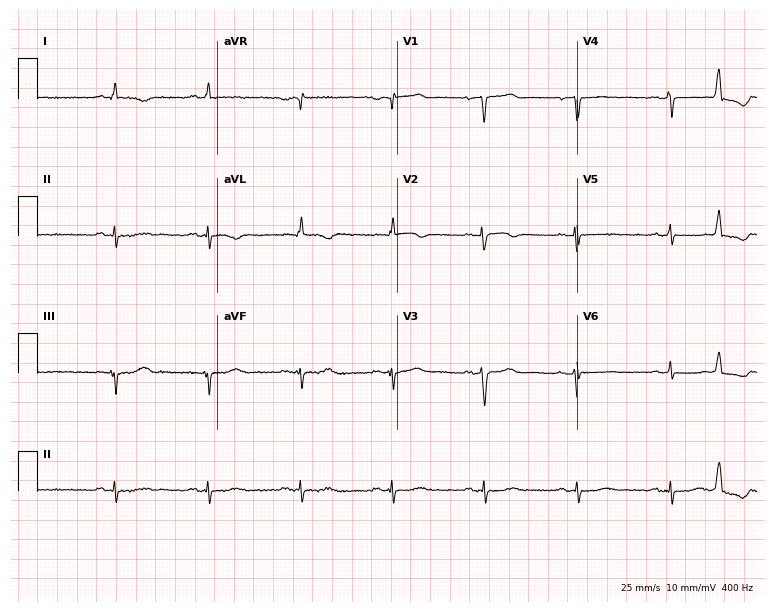
Electrocardiogram, a woman, 67 years old. Of the six screened findings (first-degree AV block, right bundle branch block (RBBB), left bundle branch block (LBBB), sinus bradycardia, atrial fibrillation (AF), sinus tachycardia), none is recorded. Other findings, if any, are not listed.